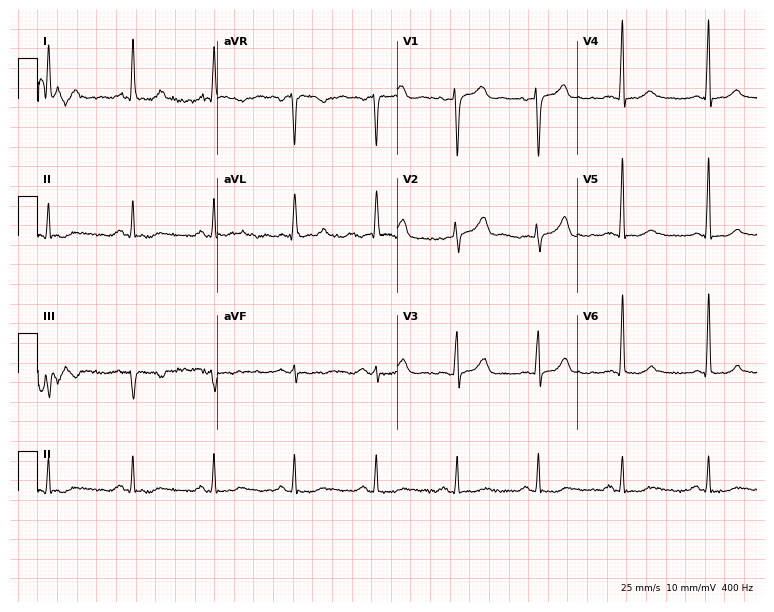
Electrocardiogram (7.3-second recording at 400 Hz), a female, 60 years old. Overall reading on record: normal ECG.